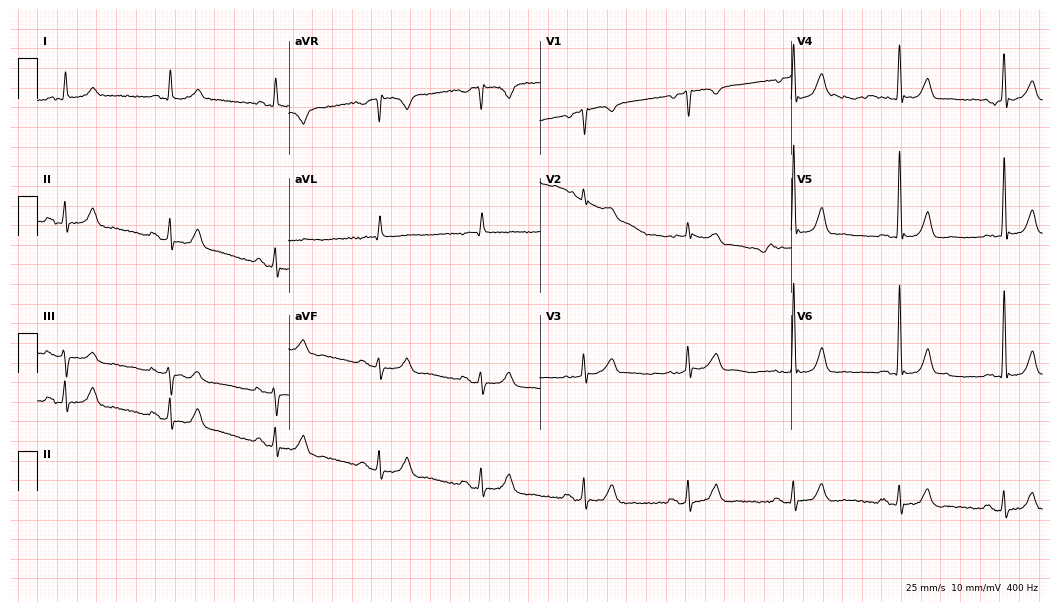
12-lead ECG (10.2-second recording at 400 Hz) from a 75-year-old male. Labelled as a normal ECG.